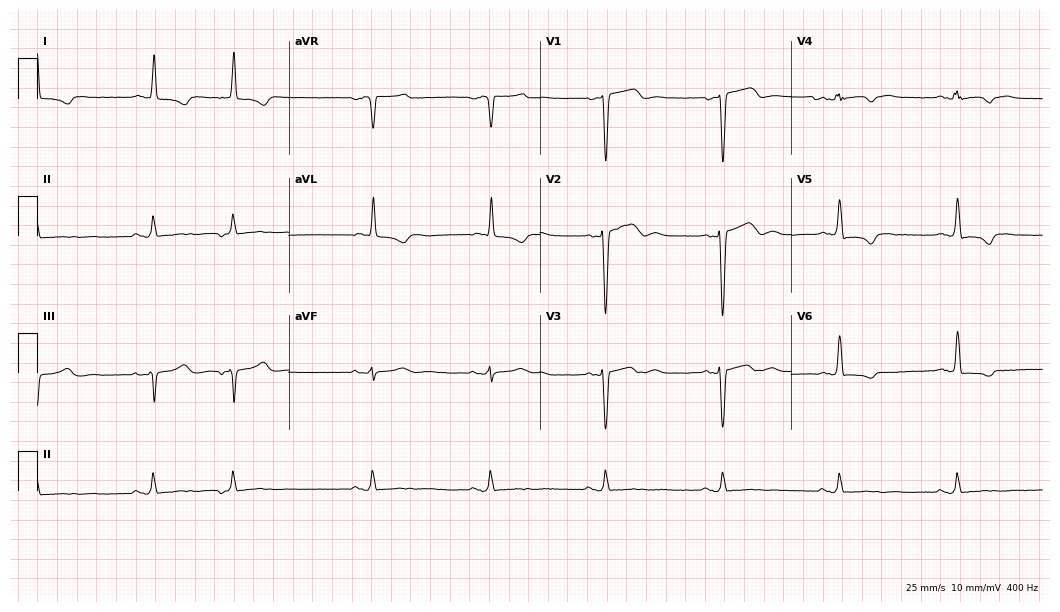
Electrocardiogram (10.2-second recording at 400 Hz), a 77-year-old male. Of the six screened findings (first-degree AV block, right bundle branch block, left bundle branch block, sinus bradycardia, atrial fibrillation, sinus tachycardia), none is recorded. Only these six findings were labelled.